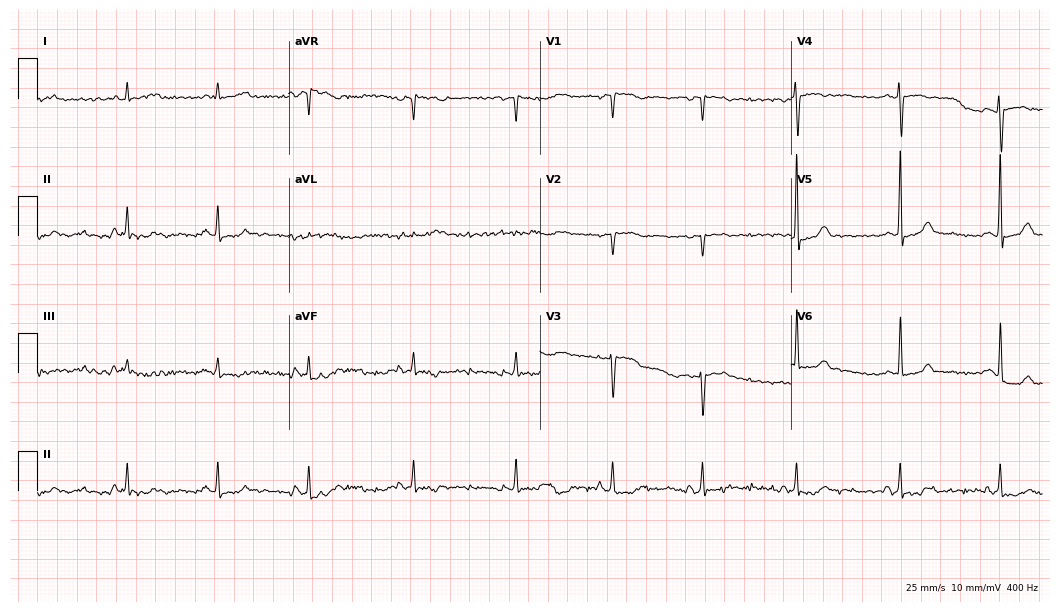
12-lead ECG from a 49-year-old female (10.2-second recording at 400 Hz). No first-degree AV block, right bundle branch block, left bundle branch block, sinus bradycardia, atrial fibrillation or sinus tachycardia recorded for this tracing. Findings outside these six are not listed.